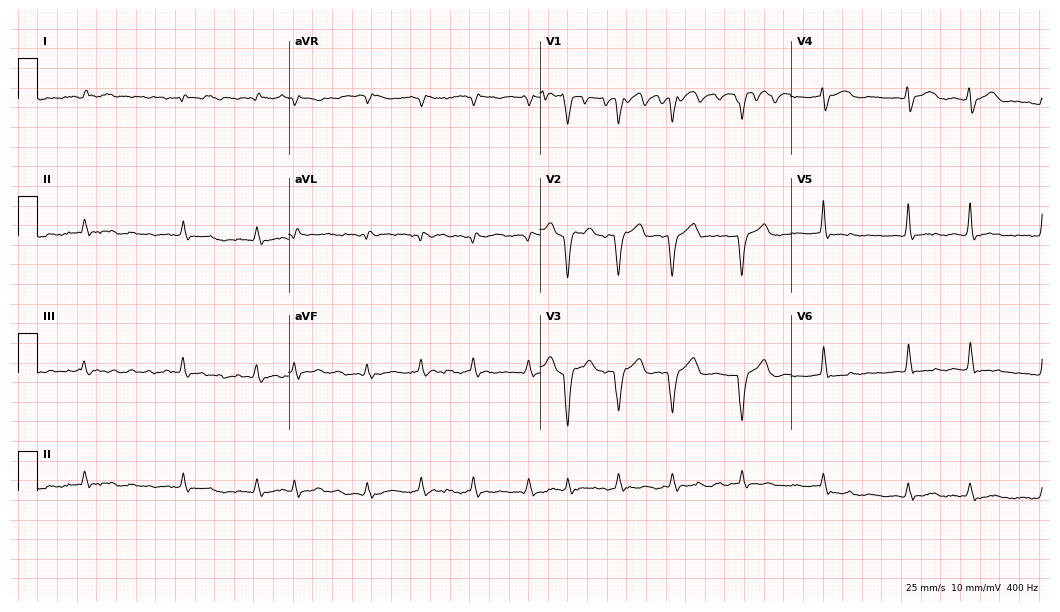
Standard 12-lead ECG recorded from a woman, 81 years old (10.2-second recording at 400 Hz). The tracing shows atrial fibrillation (AF).